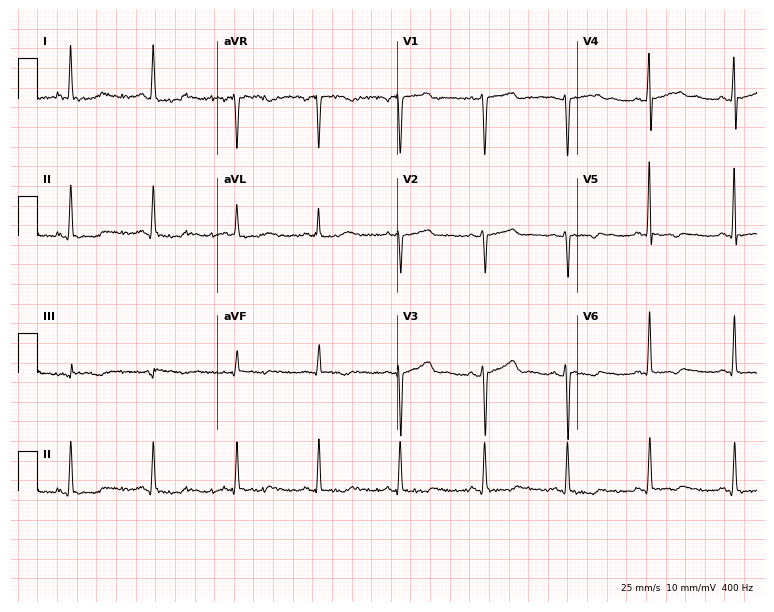
12-lead ECG (7.3-second recording at 400 Hz) from a 45-year-old female patient. Screened for six findings — first-degree AV block, right bundle branch block, left bundle branch block, sinus bradycardia, atrial fibrillation, sinus tachycardia — none is recorded.